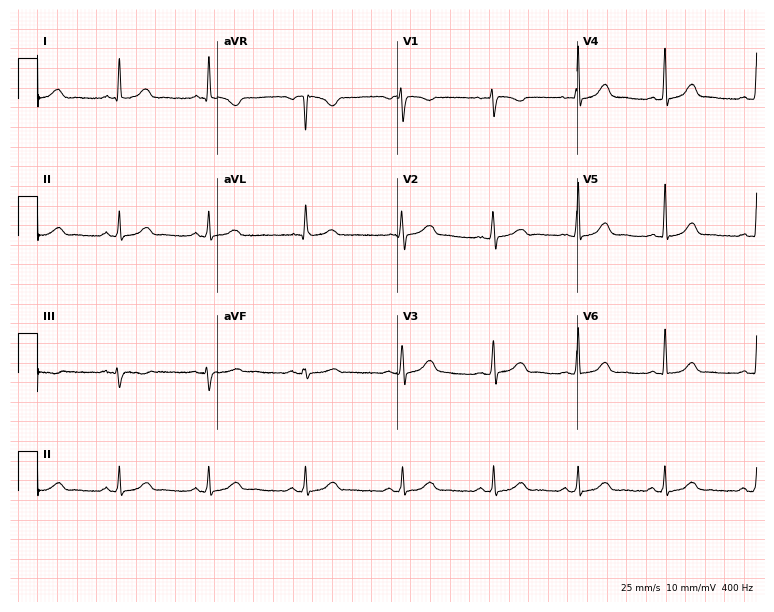
Standard 12-lead ECG recorded from a 48-year-old woman (7.3-second recording at 400 Hz). Read as a normal ECG.